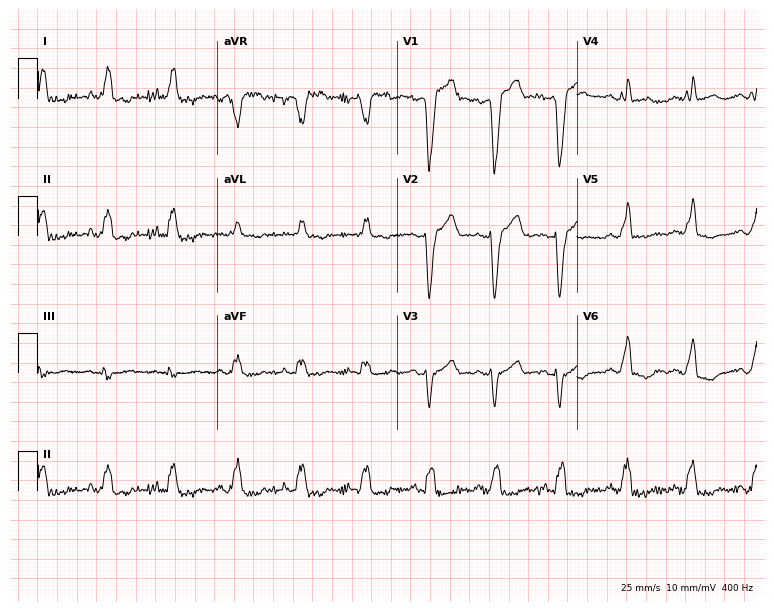
Standard 12-lead ECG recorded from a 62-year-old male patient (7.3-second recording at 400 Hz). The tracing shows left bundle branch block.